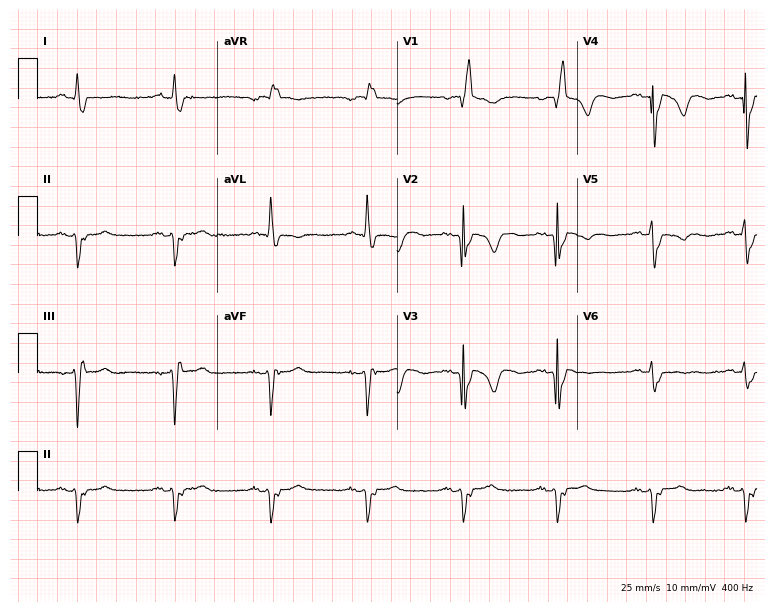
Resting 12-lead electrocardiogram. Patient: a 76-year-old male. The tracing shows right bundle branch block.